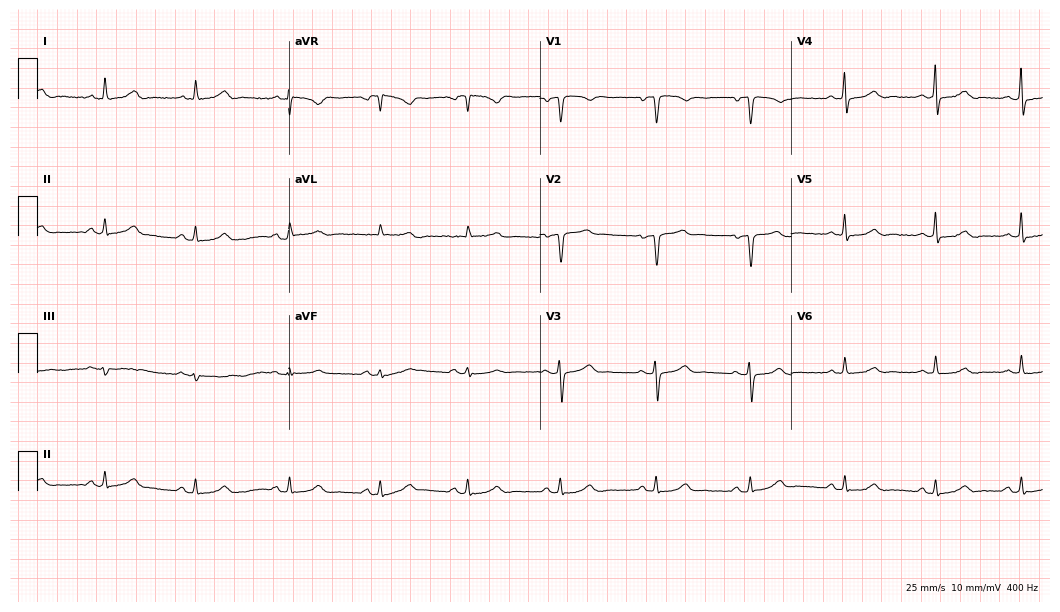
12-lead ECG from a 49-year-old female (10.2-second recording at 400 Hz). Recorded interpretation: within normal limits.